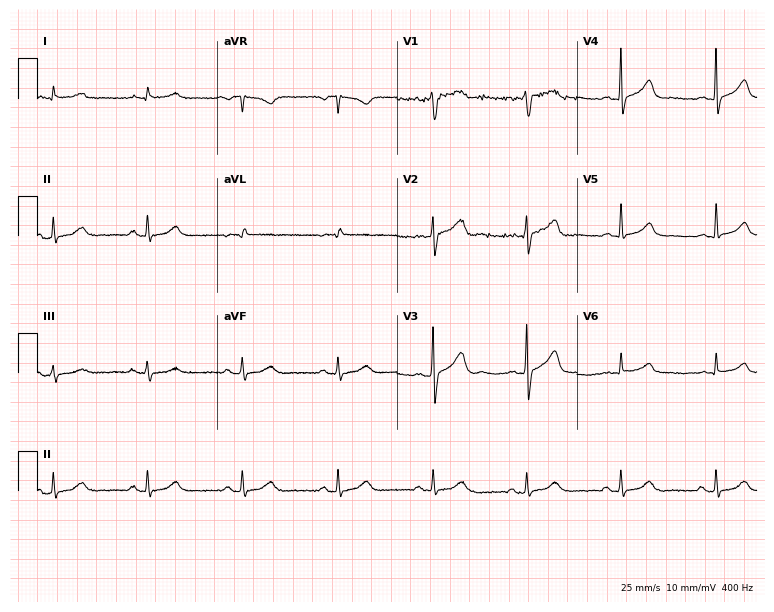
ECG — a man, 61 years old. Labelled as a normal ECG.